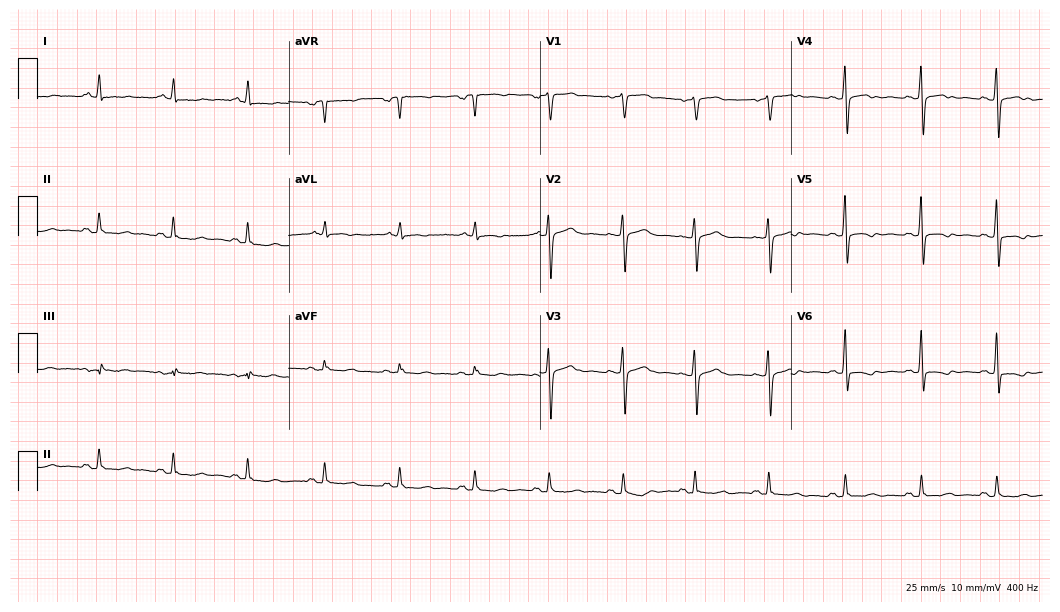
ECG — a female, 64 years old. Screened for six findings — first-degree AV block, right bundle branch block (RBBB), left bundle branch block (LBBB), sinus bradycardia, atrial fibrillation (AF), sinus tachycardia — none is recorded.